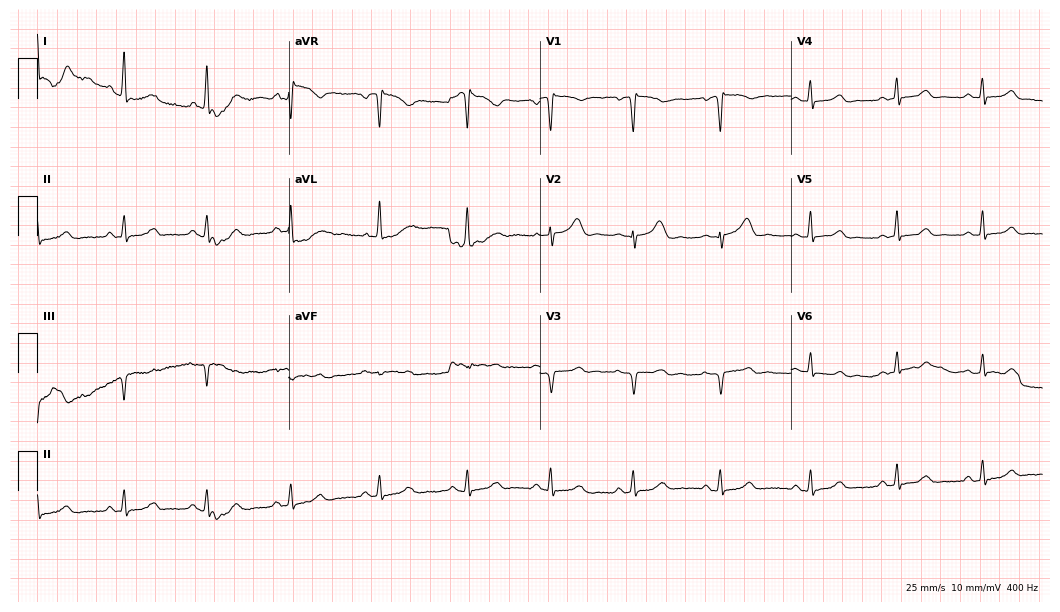
12-lead ECG (10.2-second recording at 400 Hz) from a 55-year-old female. Screened for six findings — first-degree AV block, right bundle branch block, left bundle branch block, sinus bradycardia, atrial fibrillation, sinus tachycardia — none is recorded.